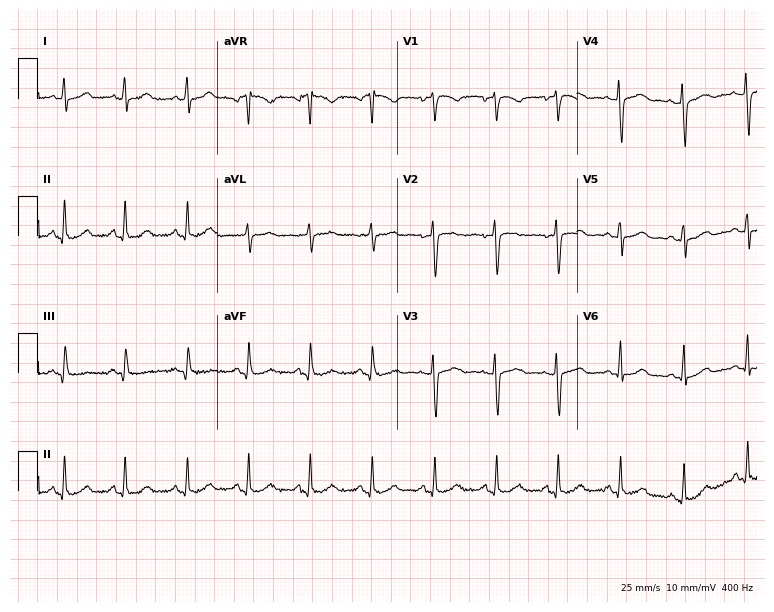
Standard 12-lead ECG recorded from a female, 48 years old (7.3-second recording at 400 Hz). None of these six findings is recorded: first-degree AV block, right bundle branch block (RBBB), left bundle branch block (LBBB), sinus bradycardia, atrial fibrillation (AF), sinus tachycardia.